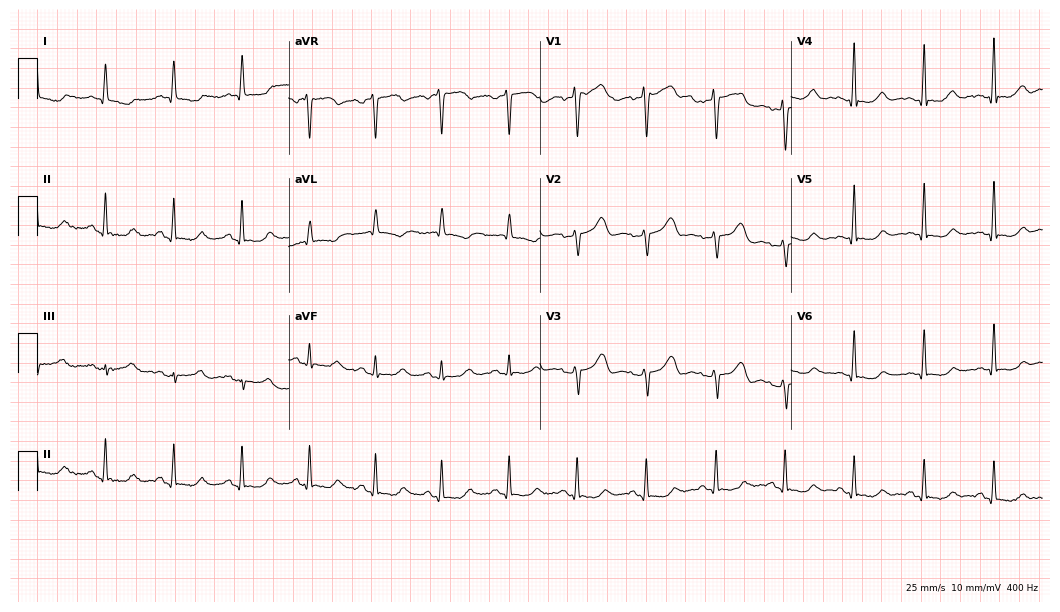
12-lead ECG from a female, 58 years old. Screened for six findings — first-degree AV block, right bundle branch block, left bundle branch block, sinus bradycardia, atrial fibrillation, sinus tachycardia — none is recorded. Only these six findings were labelled.